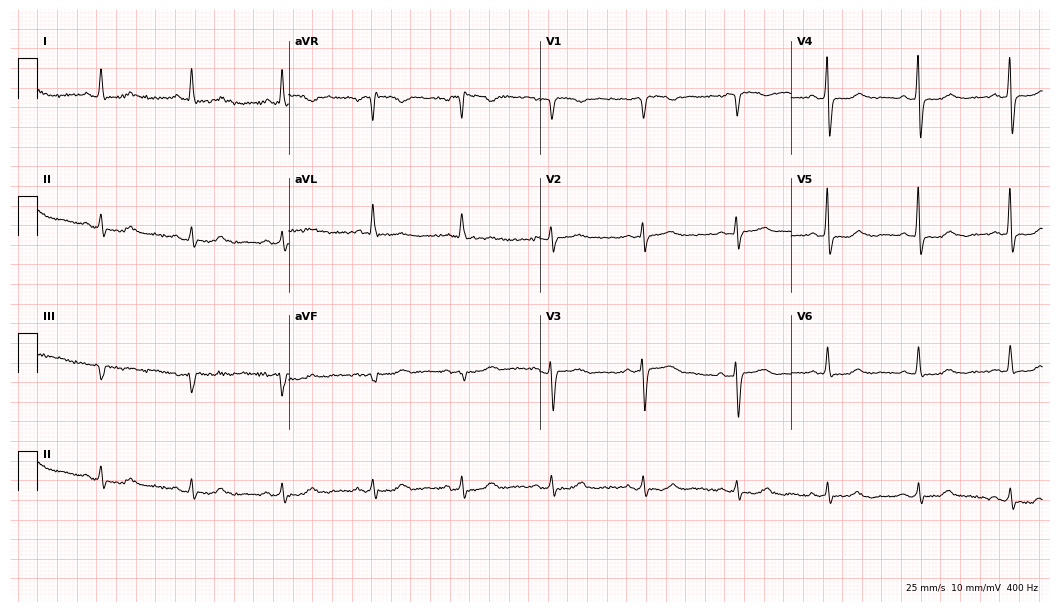
Electrocardiogram (10.2-second recording at 400 Hz), a female patient, 57 years old. Overall reading on record: normal ECG.